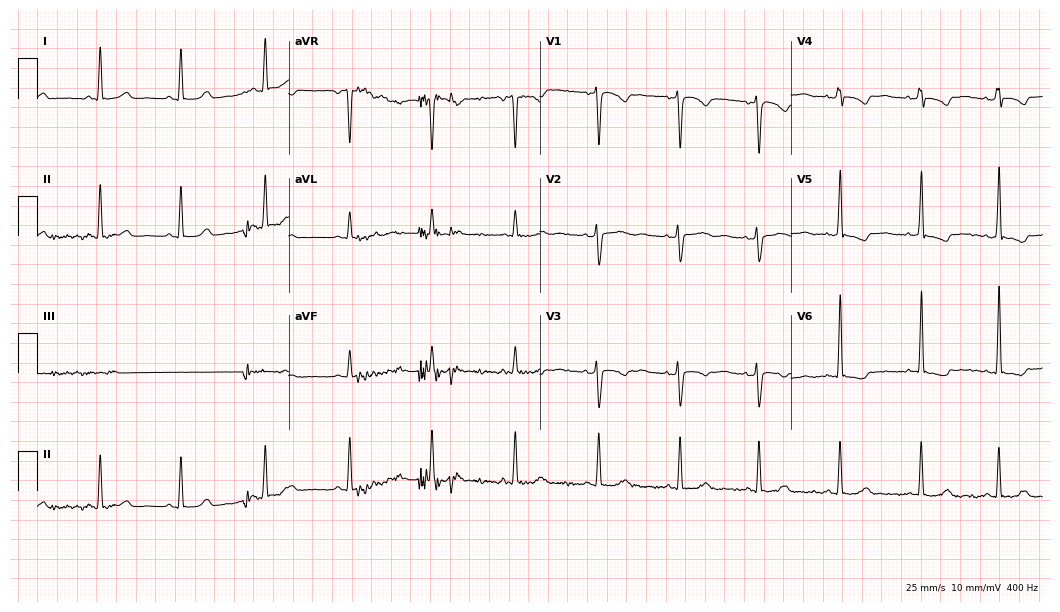
Resting 12-lead electrocardiogram (10.2-second recording at 400 Hz). Patient: a 30-year-old man. None of these six findings is recorded: first-degree AV block, right bundle branch block, left bundle branch block, sinus bradycardia, atrial fibrillation, sinus tachycardia. Findings outside these six are not listed.